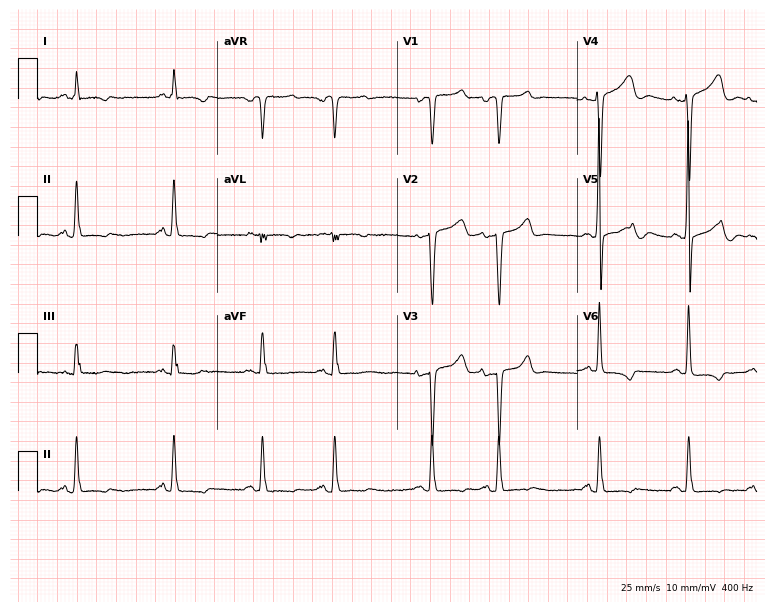
Electrocardiogram (7.3-second recording at 400 Hz), a woman, 76 years old. Overall reading on record: normal ECG.